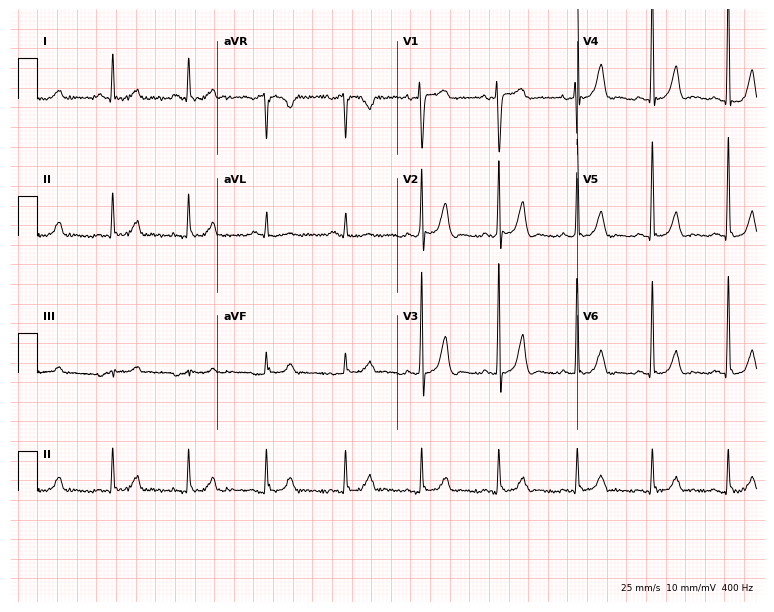
Resting 12-lead electrocardiogram. Patient: a female, 69 years old. None of these six findings is recorded: first-degree AV block, right bundle branch block, left bundle branch block, sinus bradycardia, atrial fibrillation, sinus tachycardia.